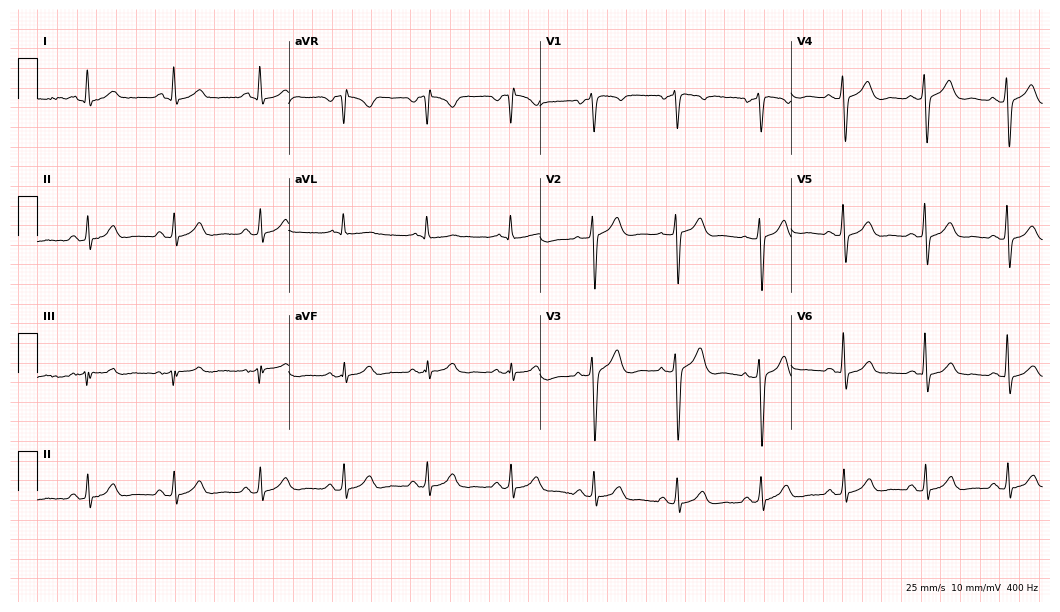
Electrocardiogram (10.2-second recording at 400 Hz), a 54-year-old man. Of the six screened findings (first-degree AV block, right bundle branch block, left bundle branch block, sinus bradycardia, atrial fibrillation, sinus tachycardia), none is recorded.